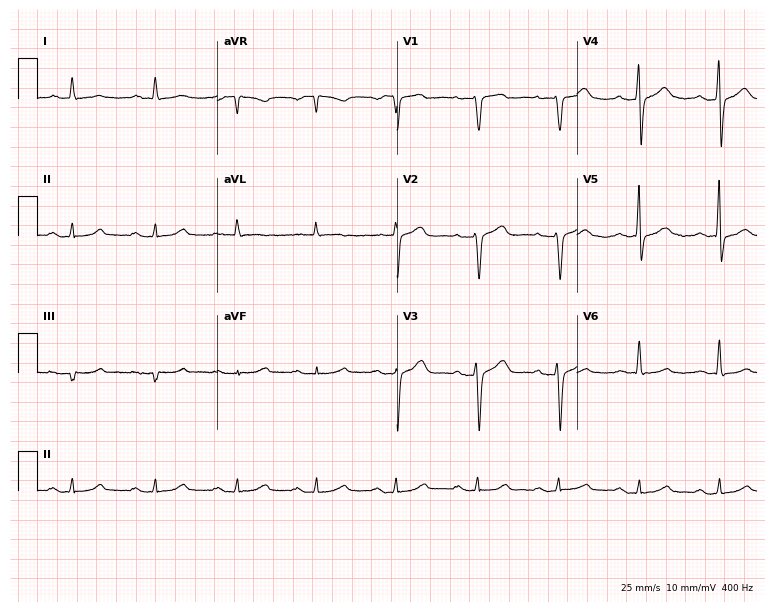
12-lead ECG from a 65-year-old female patient. Recorded interpretation: within normal limits.